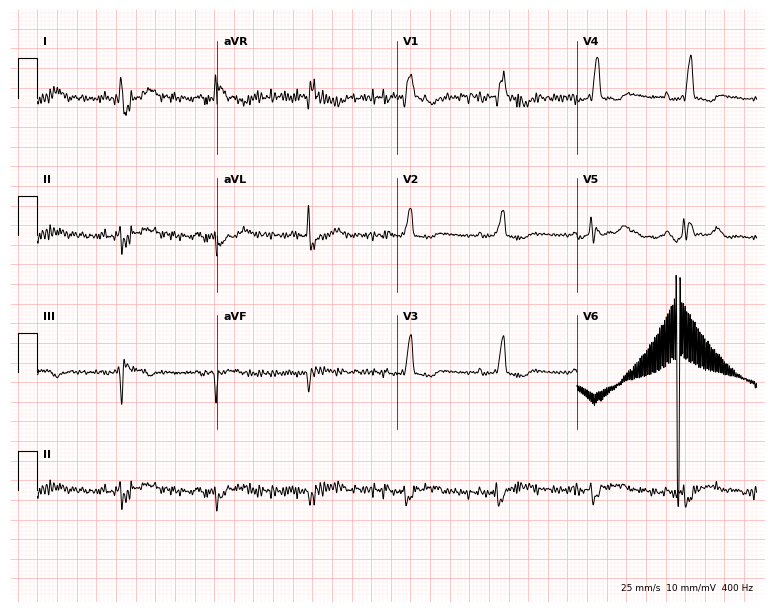
Standard 12-lead ECG recorded from a woman, 65 years old (7.3-second recording at 400 Hz). None of these six findings is recorded: first-degree AV block, right bundle branch block (RBBB), left bundle branch block (LBBB), sinus bradycardia, atrial fibrillation (AF), sinus tachycardia. Only these six findings were labelled.